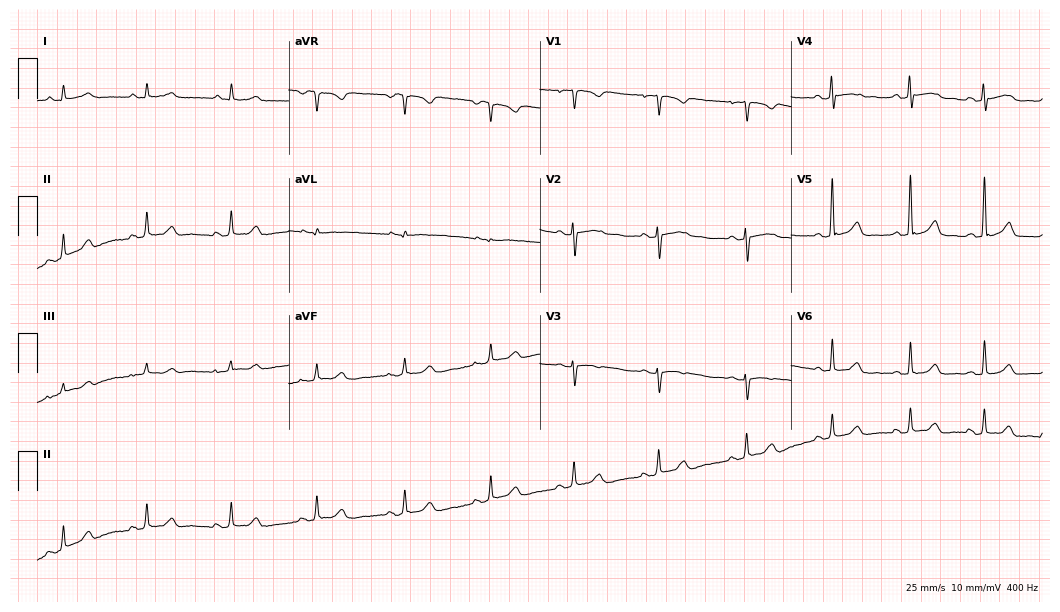
Resting 12-lead electrocardiogram (10.2-second recording at 400 Hz). Patient: a 20-year-old woman. Read as a normal ECG.